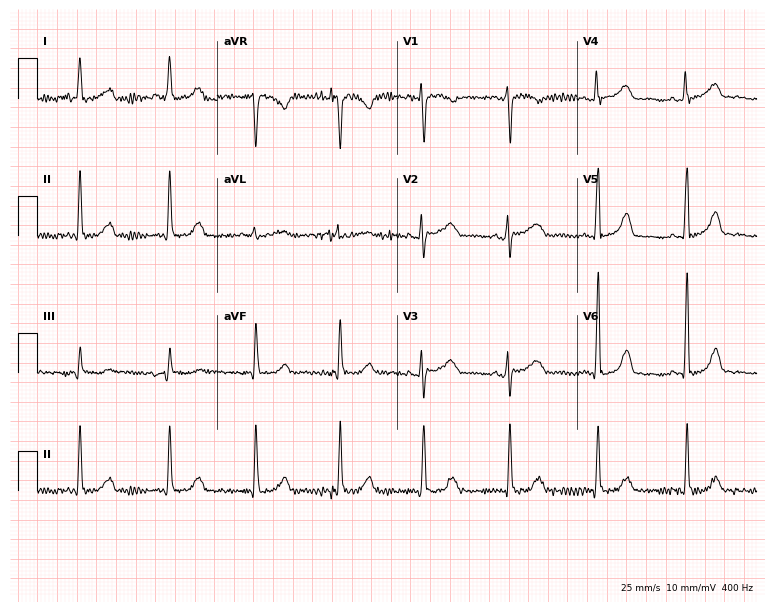
Electrocardiogram, a 50-year-old woman. Overall reading on record: normal ECG.